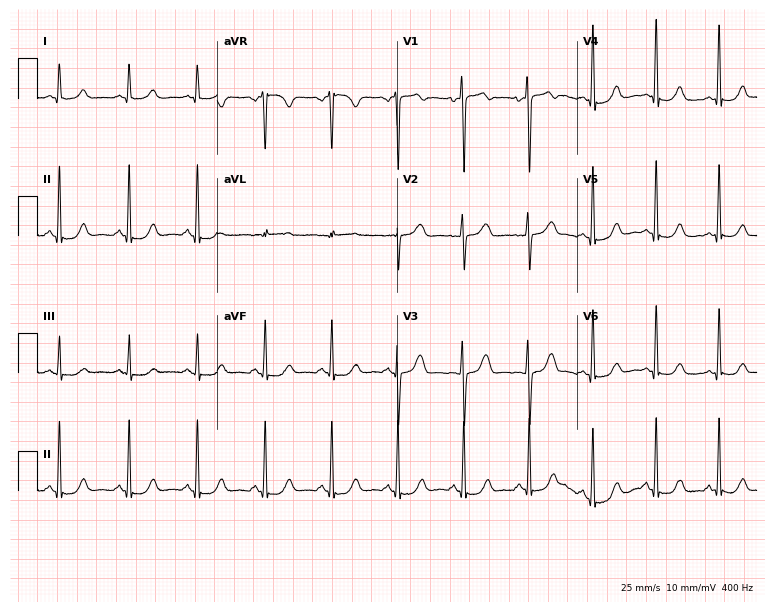
12-lead ECG from a female, 44 years old (7.3-second recording at 400 Hz). No first-degree AV block, right bundle branch block, left bundle branch block, sinus bradycardia, atrial fibrillation or sinus tachycardia recorded for this tracing. Only these six findings were labelled.